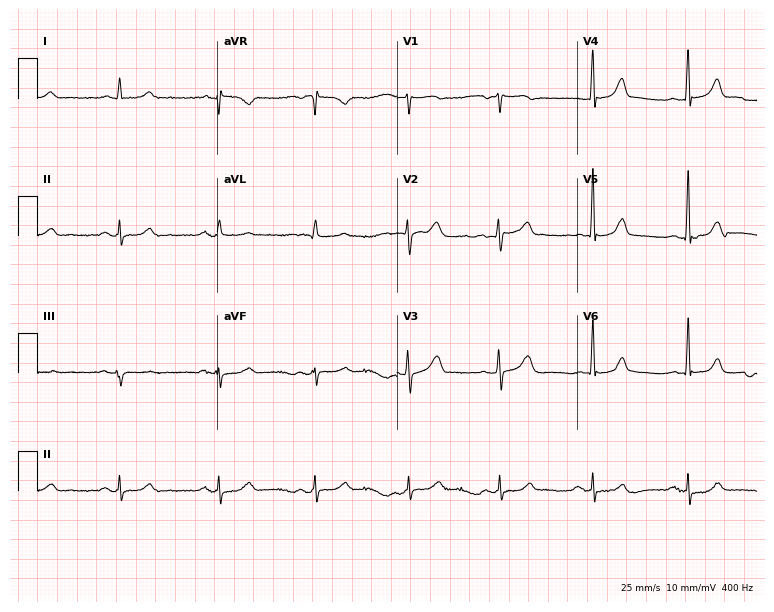
Electrocardiogram, a 70-year-old male. Of the six screened findings (first-degree AV block, right bundle branch block, left bundle branch block, sinus bradycardia, atrial fibrillation, sinus tachycardia), none is recorded.